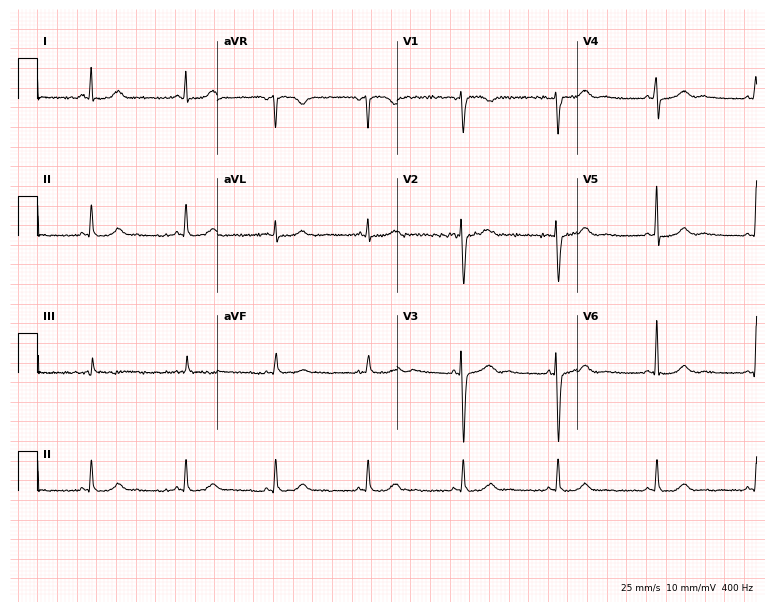
ECG — a 41-year-old woman. Screened for six findings — first-degree AV block, right bundle branch block, left bundle branch block, sinus bradycardia, atrial fibrillation, sinus tachycardia — none is recorded. Only these six findings were labelled.